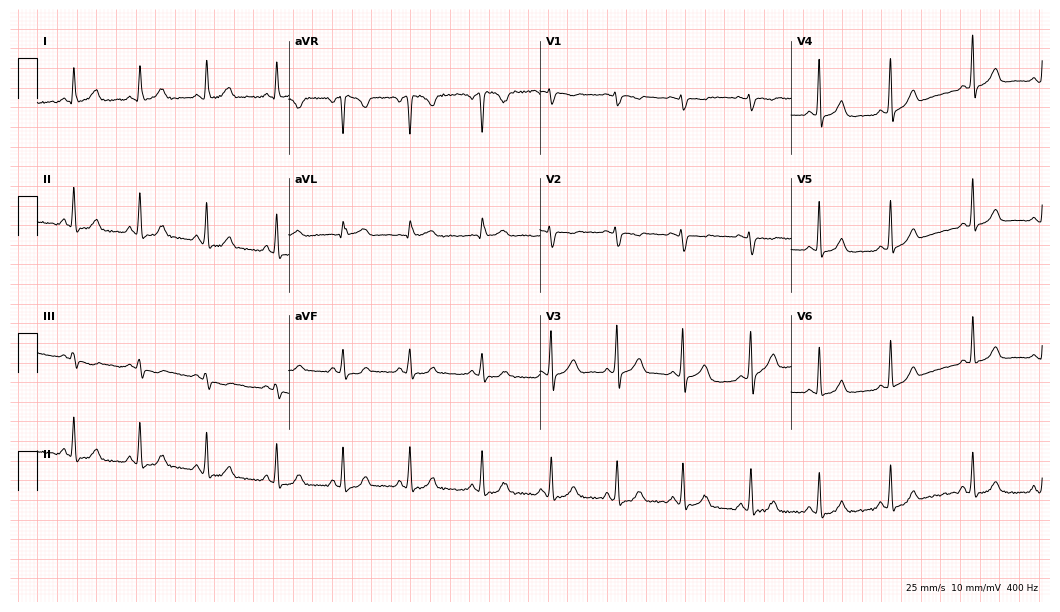
Electrocardiogram (10.2-second recording at 400 Hz), a female patient, 30 years old. Overall reading on record: normal ECG.